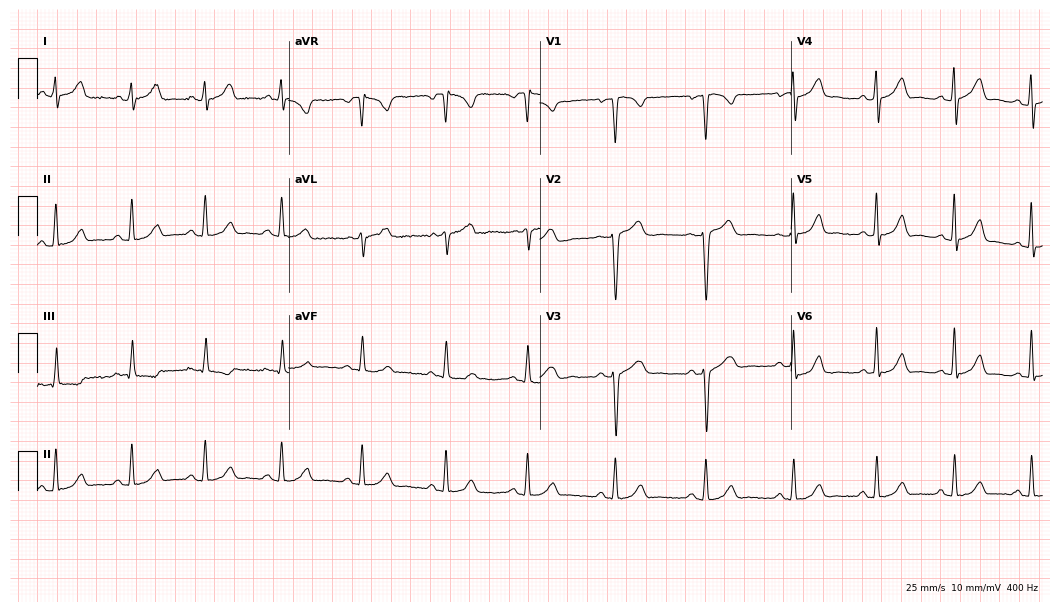
ECG (10.2-second recording at 400 Hz) — a 21-year-old woman. Labelled as a normal ECG.